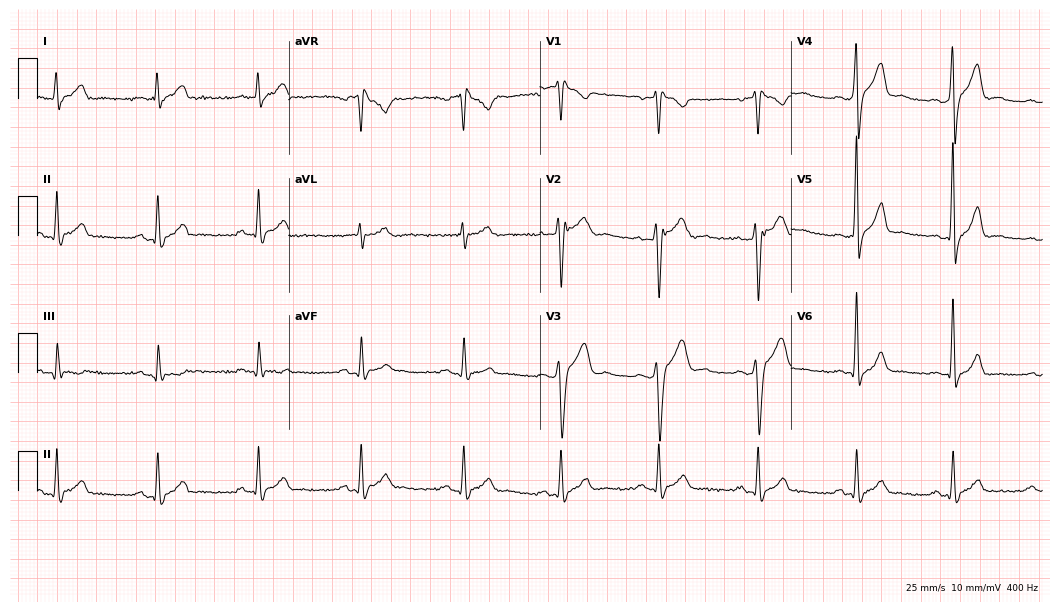
12-lead ECG from a male, 33 years old. No first-degree AV block, right bundle branch block, left bundle branch block, sinus bradycardia, atrial fibrillation or sinus tachycardia recorded for this tracing. Only these six findings were labelled.